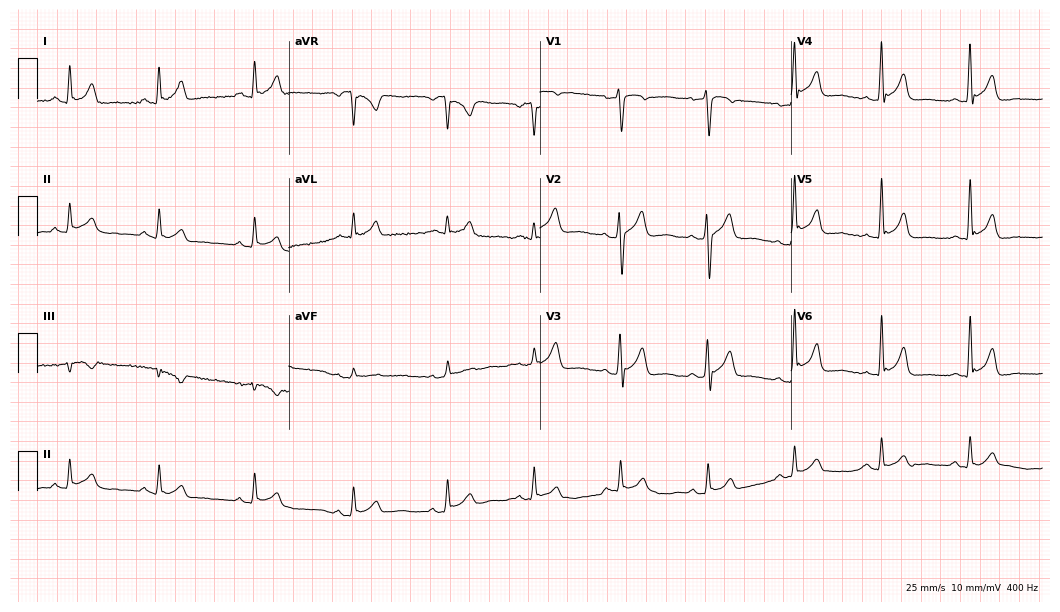
Electrocardiogram (10.2-second recording at 400 Hz), a 28-year-old male patient. Of the six screened findings (first-degree AV block, right bundle branch block, left bundle branch block, sinus bradycardia, atrial fibrillation, sinus tachycardia), none is recorded.